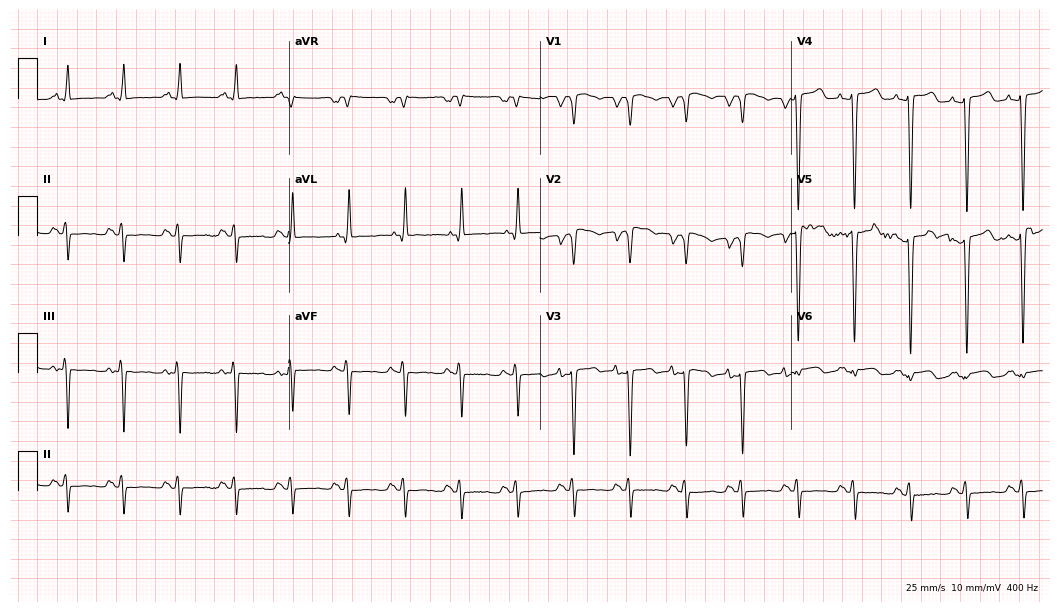
ECG (10.2-second recording at 400 Hz) — a 50-year-old male patient. Screened for six findings — first-degree AV block, right bundle branch block, left bundle branch block, sinus bradycardia, atrial fibrillation, sinus tachycardia — none is recorded. Findings outside these six are not listed.